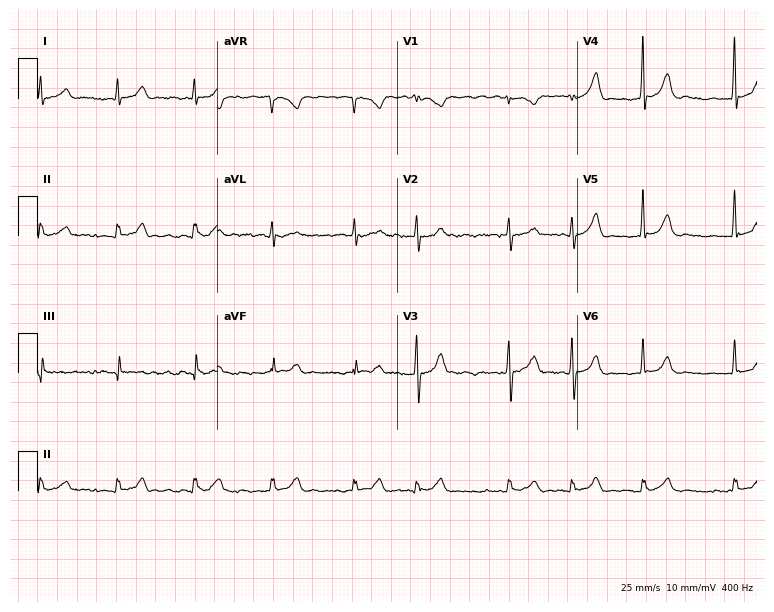
Resting 12-lead electrocardiogram. Patient: a man, 77 years old. None of these six findings is recorded: first-degree AV block, right bundle branch block, left bundle branch block, sinus bradycardia, atrial fibrillation, sinus tachycardia.